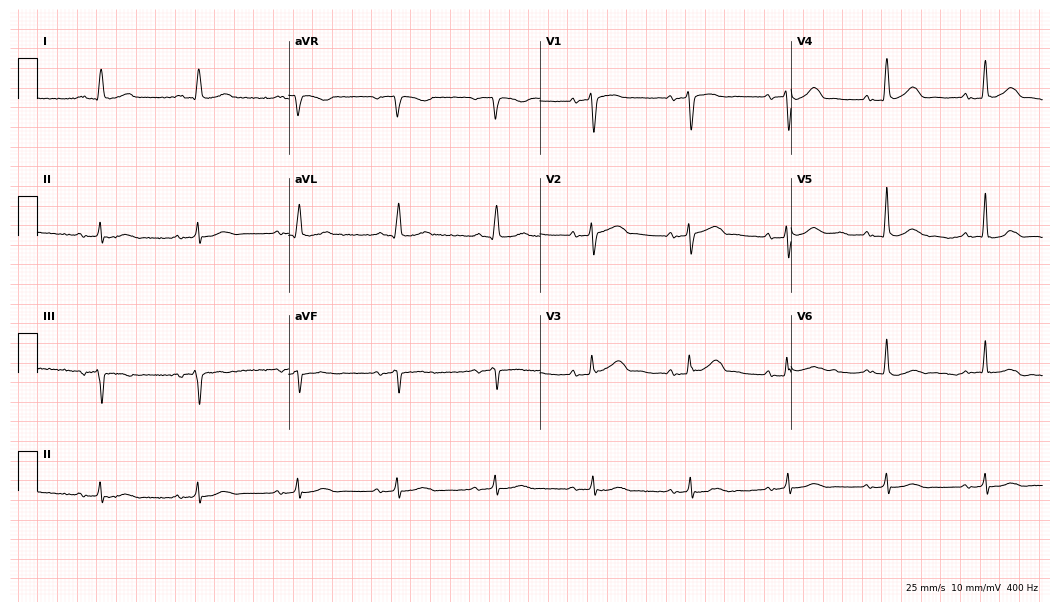
ECG (10.2-second recording at 400 Hz) — an 84-year-old male. Labelled as a normal ECG.